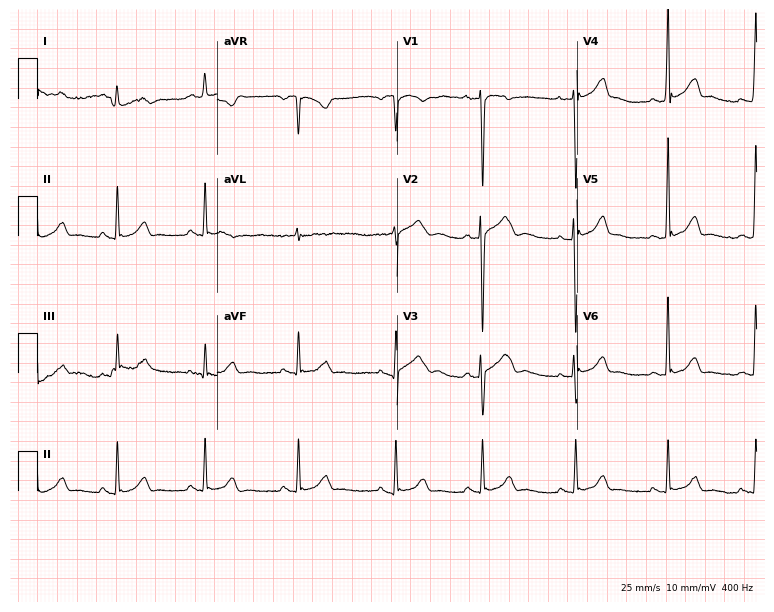
12-lead ECG (7.3-second recording at 400 Hz) from a male patient, 28 years old. Labelled as a normal ECG.